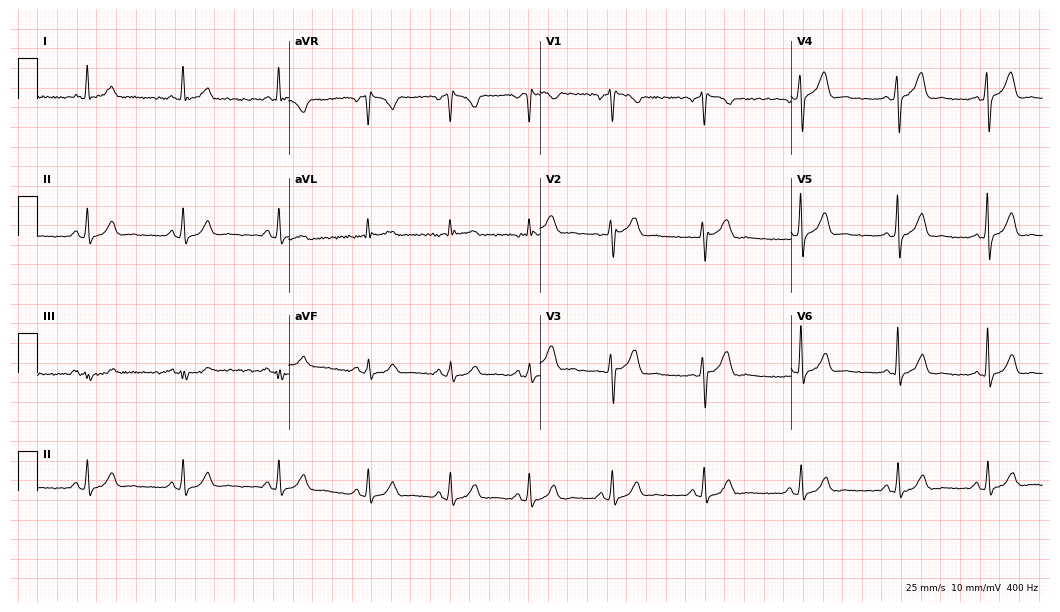
12-lead ECG (10.2-second recording at 400 Hz) from a male patient, 44 years old. Screened for six findings — first-degree AV block, right bundle branch block (RBBB), left bundle branch block (LBBB), sinus bradycardia, atrial fibrillation (AF), sinus tachycardia — none is recorded.